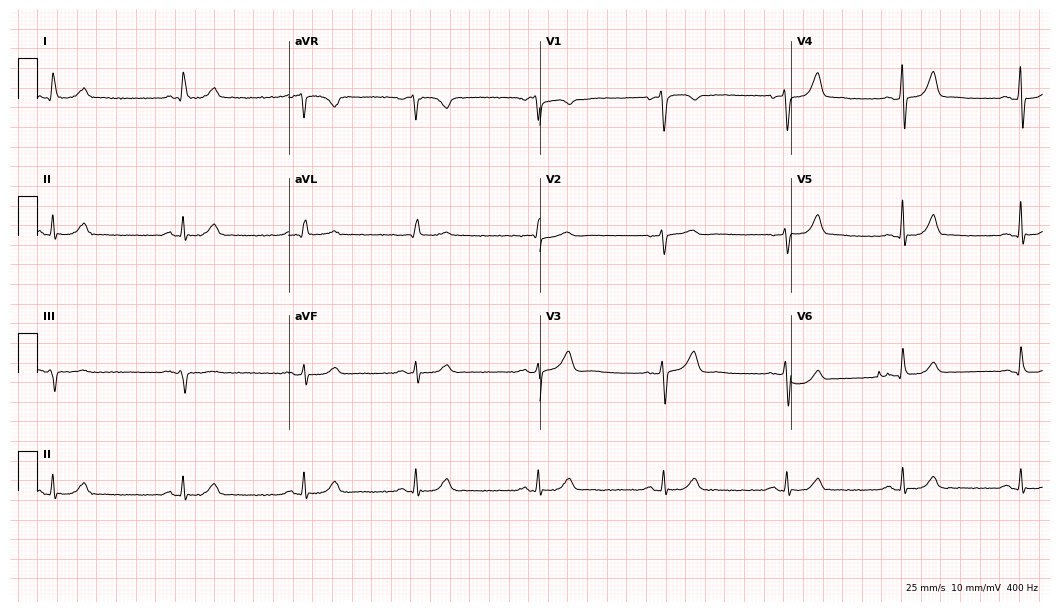
ECG — a 52-year-old woman. Findings include sinus bradycardia (a sinus rate of 50 beats per minute or less).